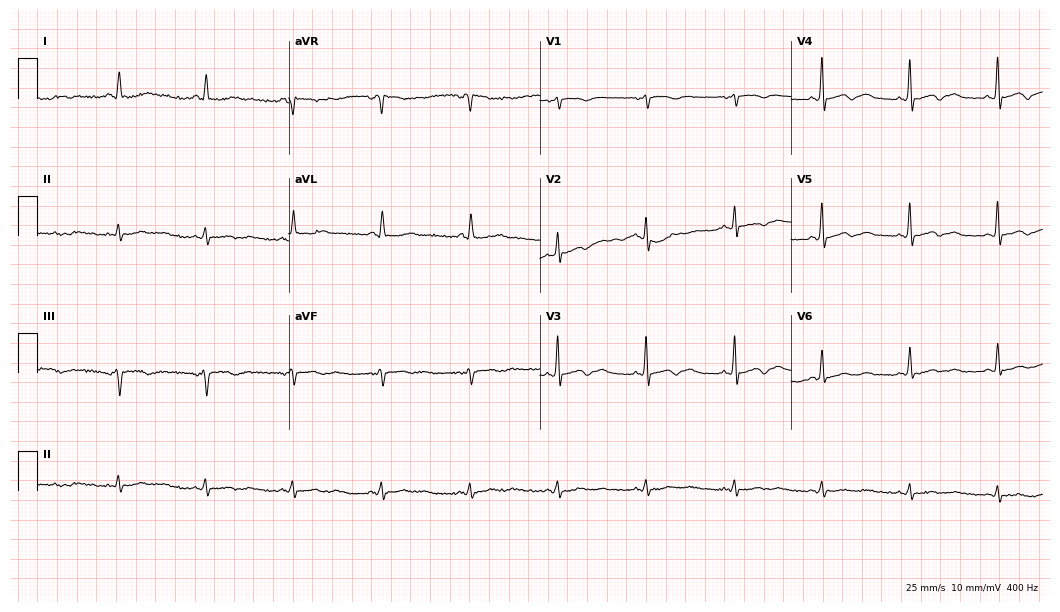
12-lead ECG from a 41-year-old male. No first-degree AV block, right bundle branch block, left bundle branch block, sinus bradycardia, atrial fibrillation or sinus tachycardia recorded for this tracing.